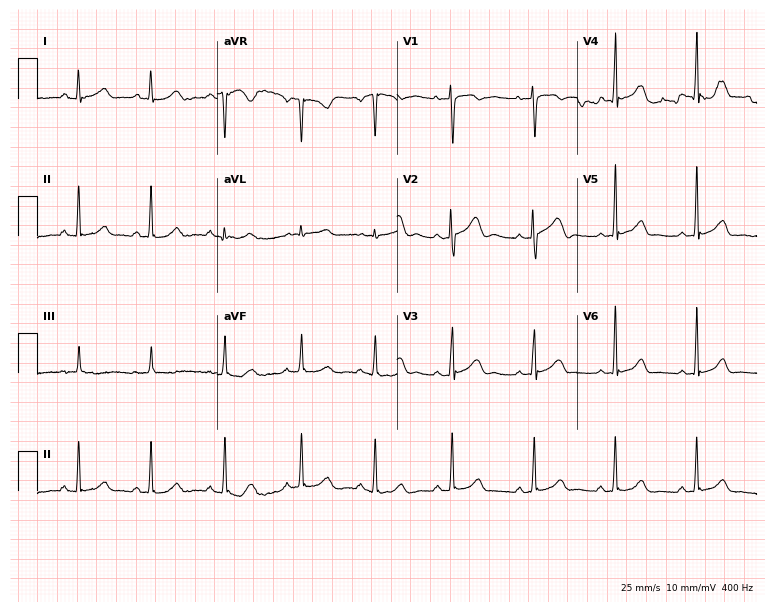
12-lead ECG (7.3-second recording at 400 Hz) from a female, 22 years old. Labelled as a normal ECG.